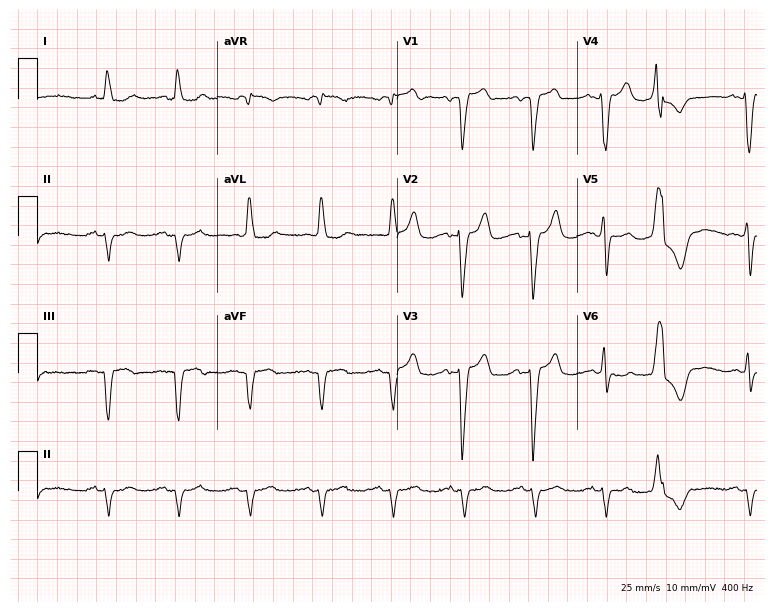
12-lead ECG from an 84-year-old male. No first-degree AV block, right bundle branch block, left bundle branch block, sinus bradycardia, atrial fibrillation or sinus tachycardia recorded for this tracing.